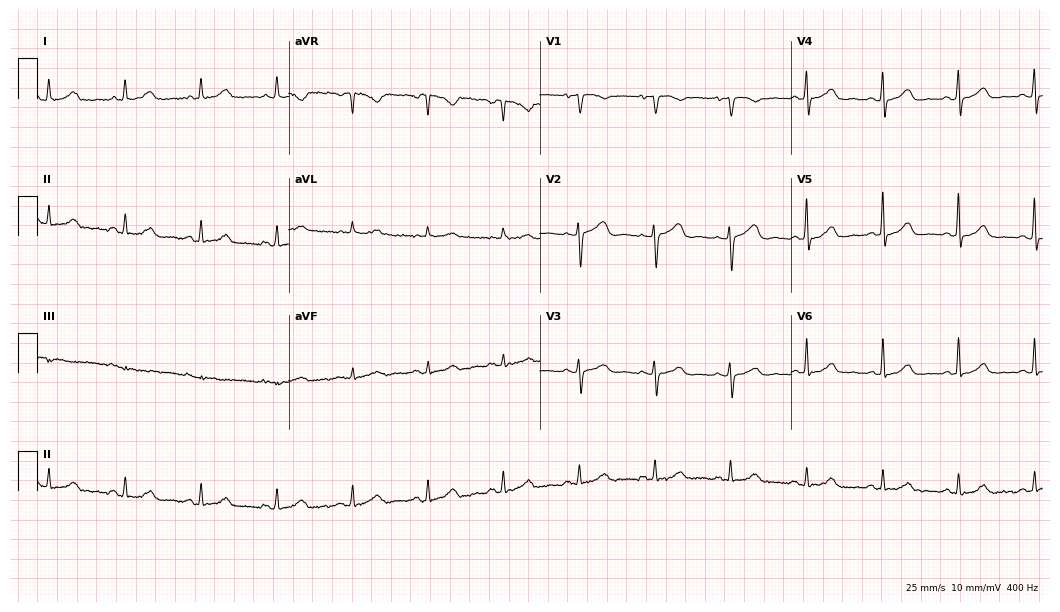
12-lead ECG (10.2-second recording at 400 Hz) from a 77-year-old female. Labelled as a normal ECG.